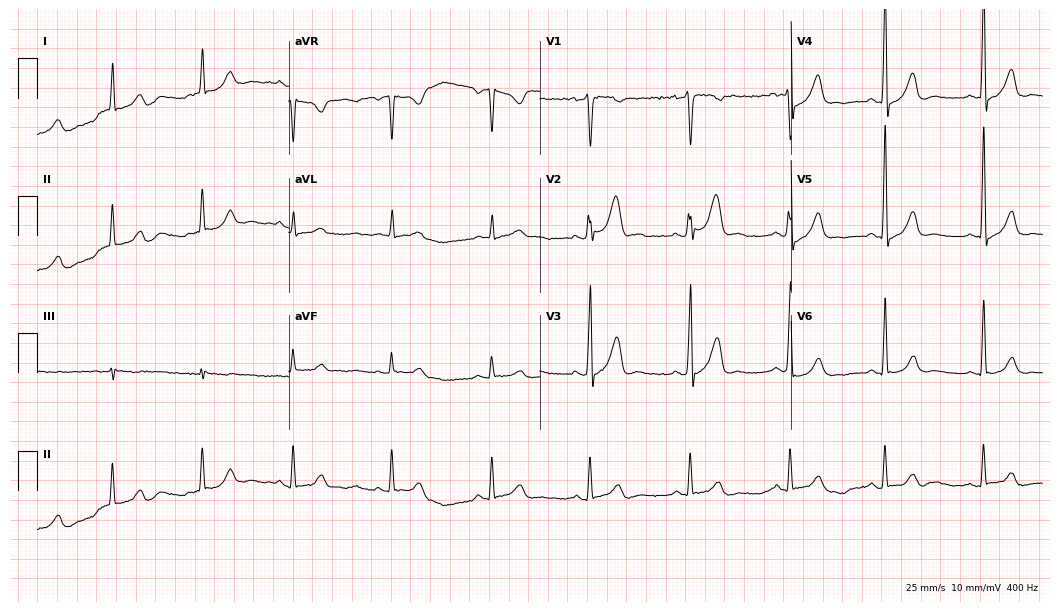
12-lead ECG from a male, 31 years old. Recorded interpretation: within normal limits.